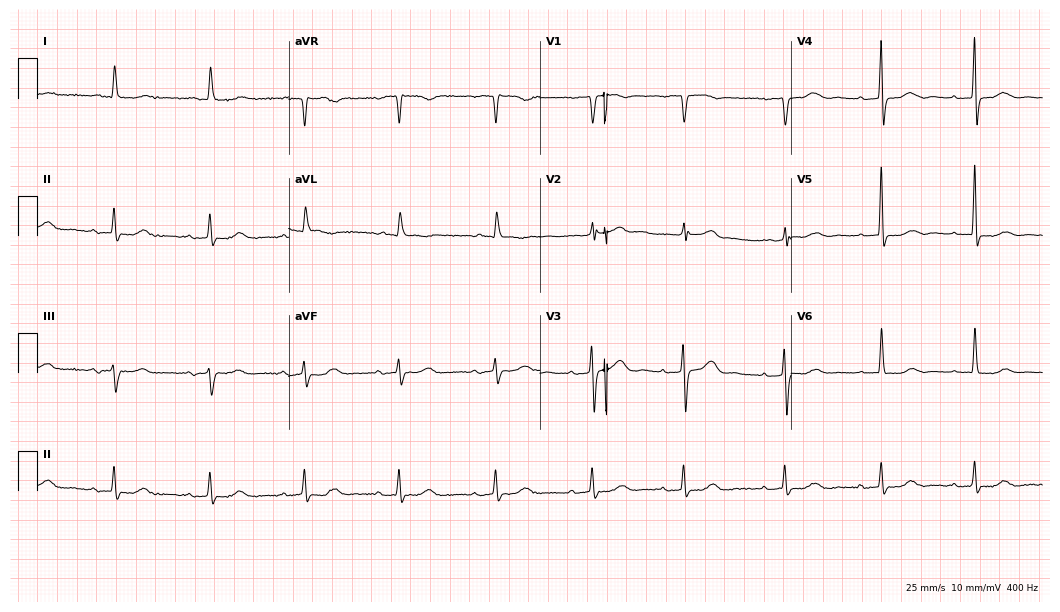
ECG (10.2-second recording at 400 Hz) — a female, 84 years old. Findings include first-degree AV block.